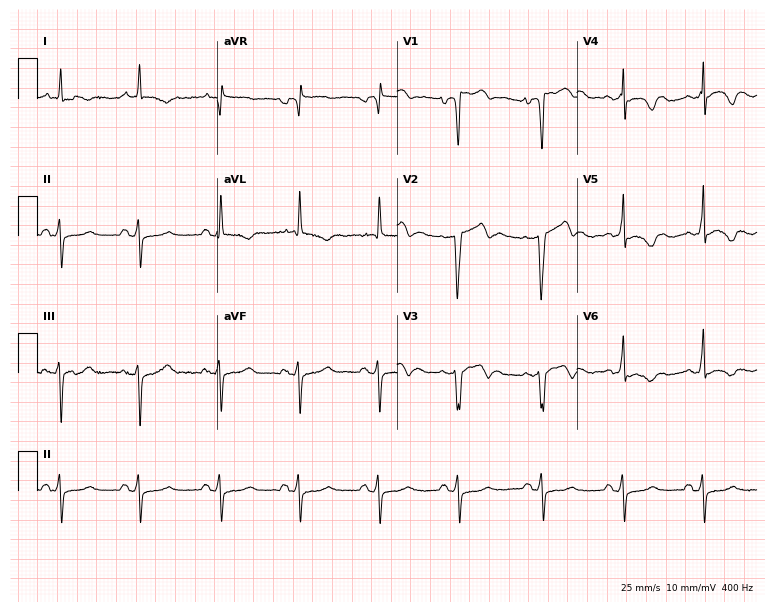
Electrocardiogram (7.3-second recording at 400 Hz), a male patient, 60 years old. Of the six screened findings (first-degree AV block, right bundle branch block (RBBB), left bundle branch block (LBBB), sinus bradycardia, atrial fibrillation (AF), sinus tachycardia), none is recorded. Findings outside these six are not listed.